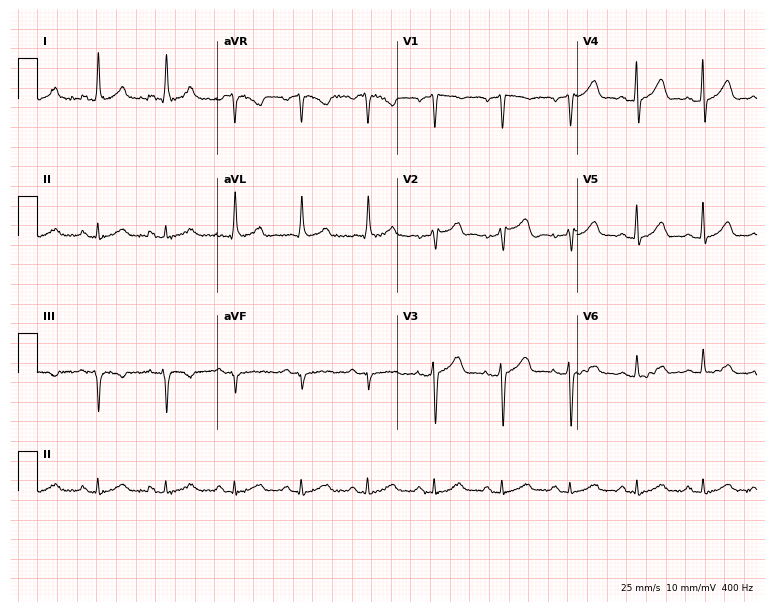
Standard 12-lead ECG recorded from a female patient, 52 years old (7.3-second recording at 400 Hz). Read as a normal ECG.